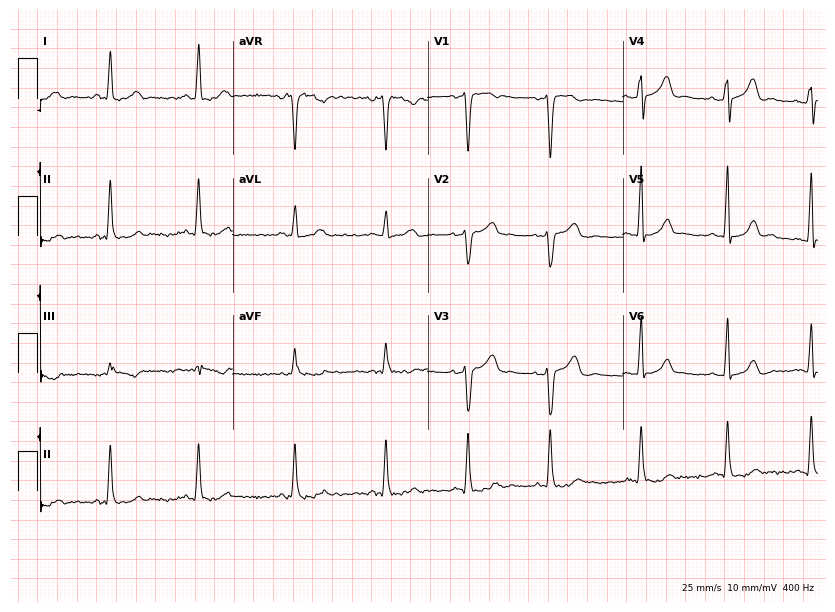
12-lead ECG from a female patient, 35 years old. Recorded interpretation: within normal limits.